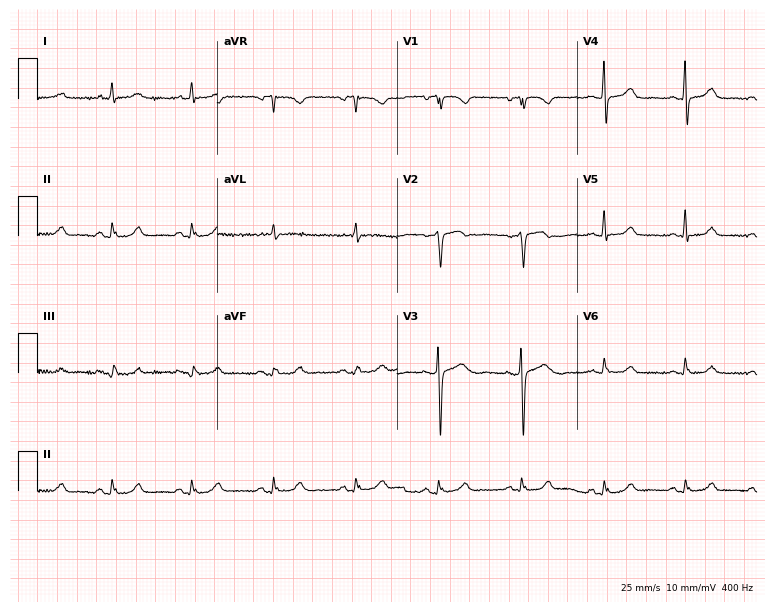
Electrocardiogram (7.3-second recording at 400 Hz), a 66-year-old female patient. Overall reading on record: normal ECG.